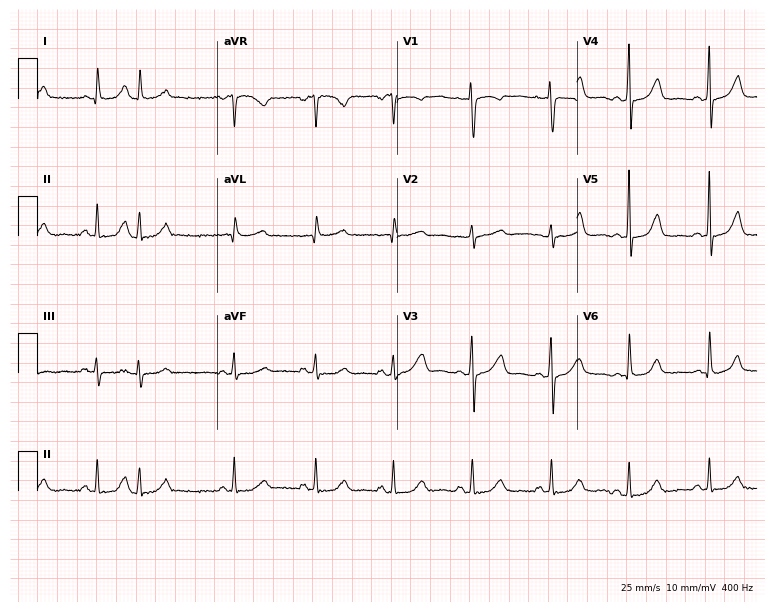
ECG — a woman, 52 years old. Screened for six findings — first-degree AV block, right bundle branch block (RBBB), left bundle branch block (LBBB), sinus bradycardia, atrial fibrillation (AF), sinus tachycardia — none is recorded. Findings outside these six are not listed.